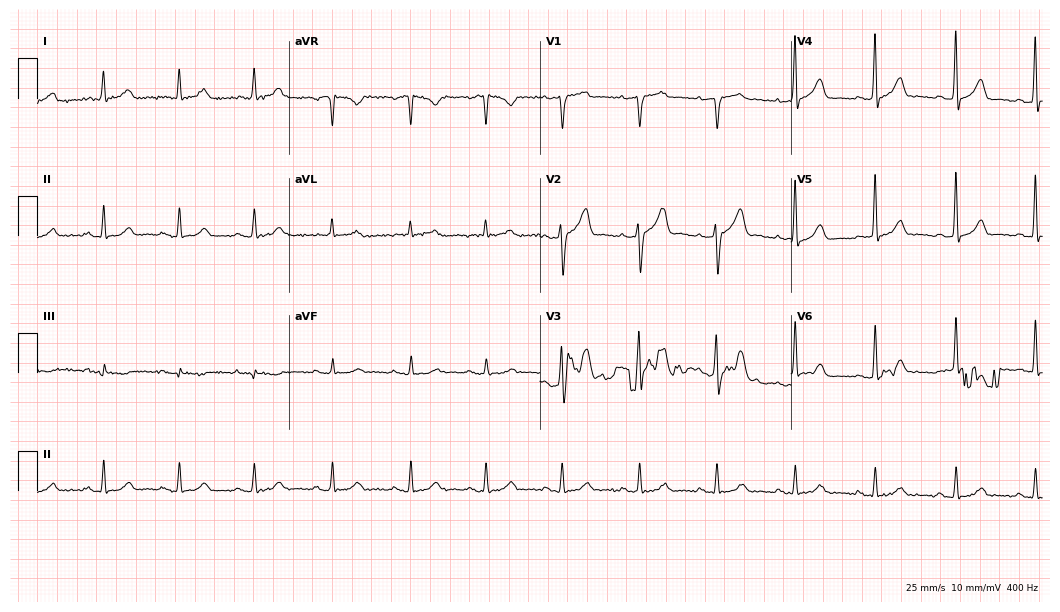
ECG — an 82-year-old male. Screened for six findings — first-degree AV block, right bundle branch block, left bundle branch block, sinus bradycardia, atrial fibrillation, sinus tachycardia — none is recorded. Only these six findings were labelled.